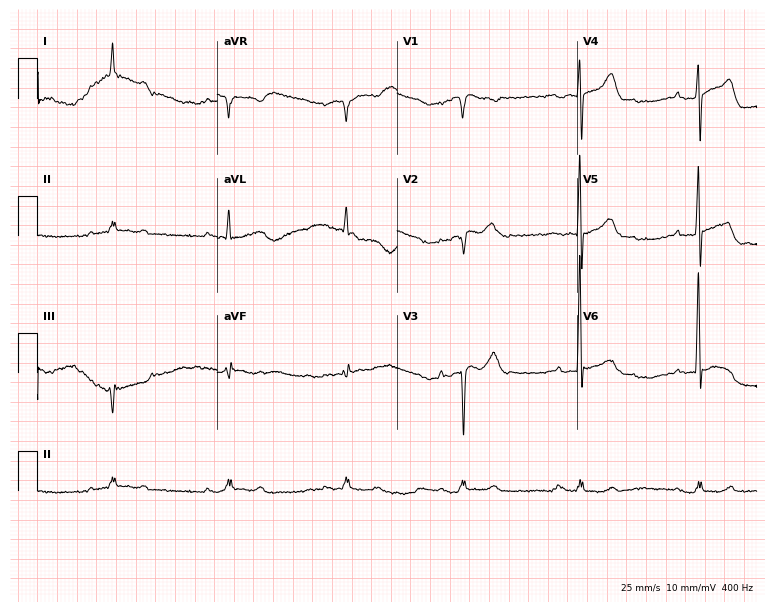
12-lead ECG from an 84-year-old man. Labelled as a normal ECG.